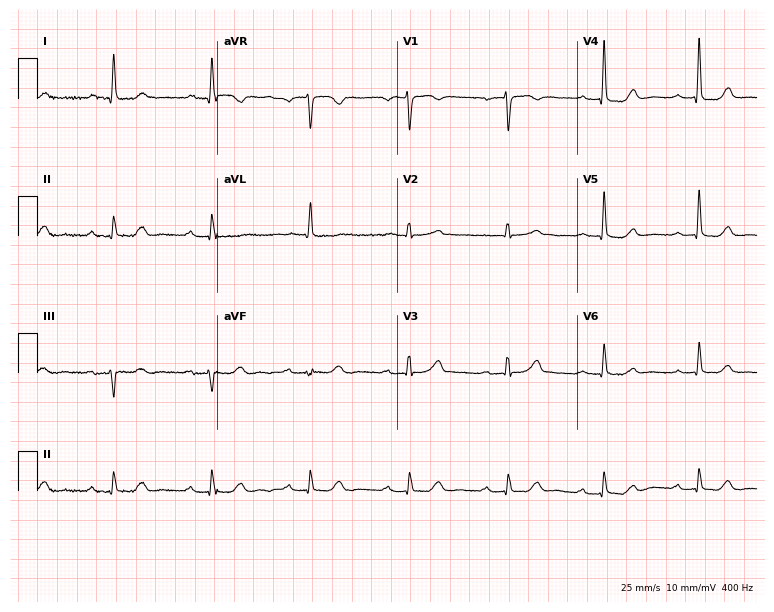
Electrocardiogram, a female patient, 71 years old. Overall reading on record: normal ECG.